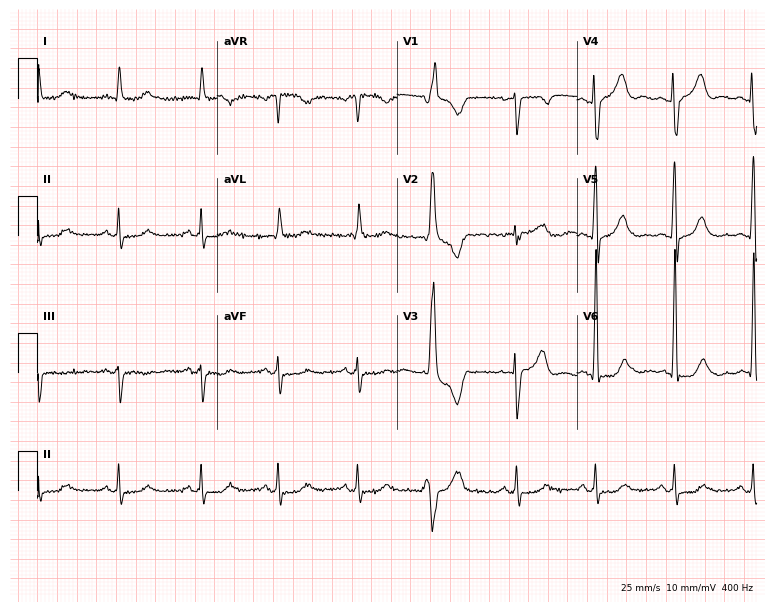
Standard 12-lead ECG recorded from a man, 84 years old (7.3-second recording at 400 Hz). None of these six findings is recorded: first-degree AV block, right bundle branch block, left bundle branch block, sinus bradycardia, atrial fibrillation, sinus tachycardia.